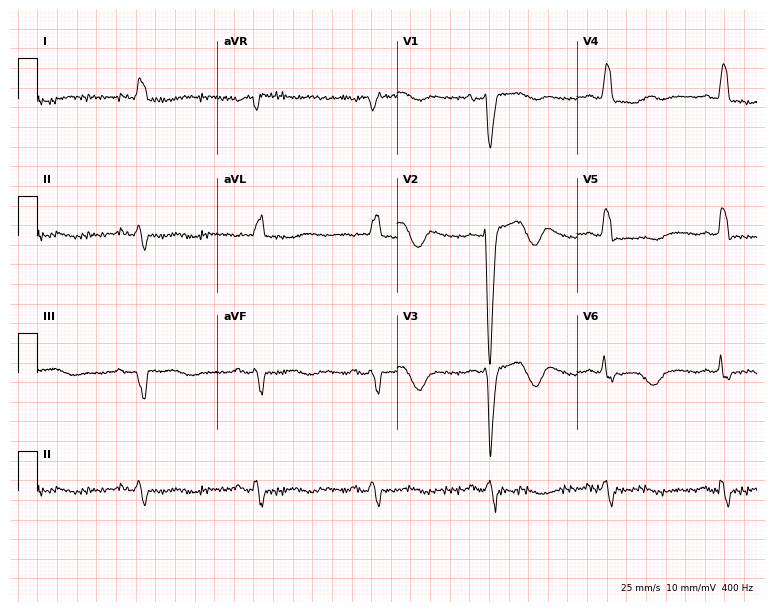
Resting 12-lead electrocardiogram (7.3-second recording at 400 Hz). Patient: an 85-year-old woman. The tracing shows left bundle branch block, sinus bradycardia (a sinus rate of 50 beats per minute or less).